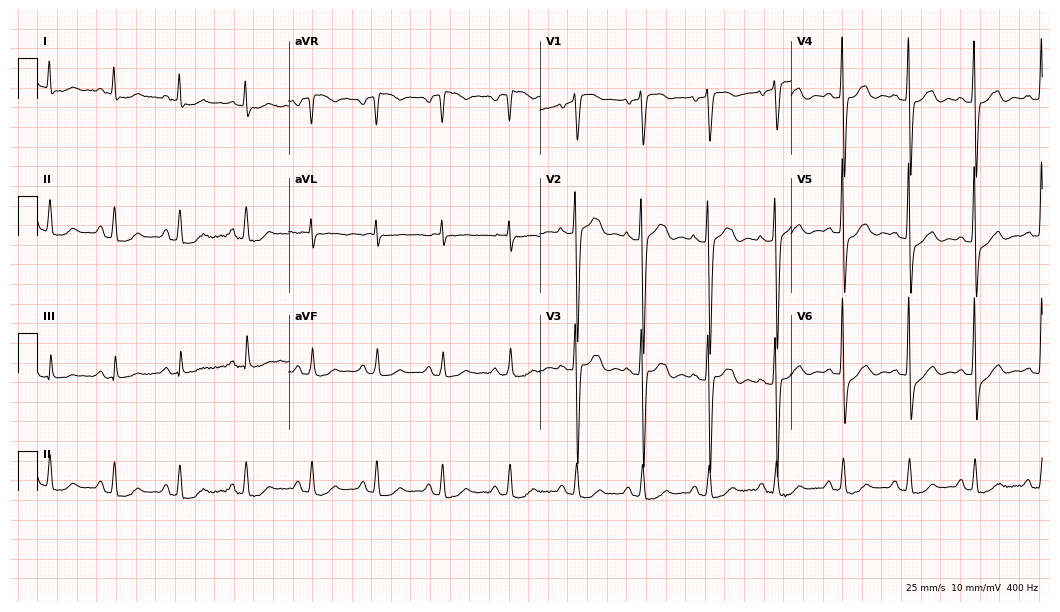
ECG (10.2-second recording at 400 Hz) — a woman, 79 years old. Screened for six findings — first-degree AV block, right bundle branch block, left bundle branch block, sinus bradycardia, atrial fibrillation, sinus tachycardia — none is recorded.